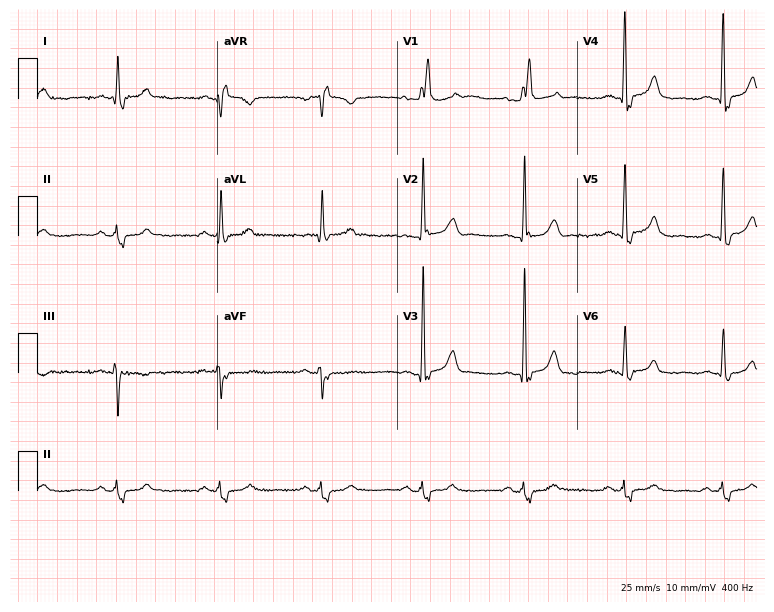
Electrocardiogram, a 76-year-old male patient. Interpretation includes right bundle branch block.